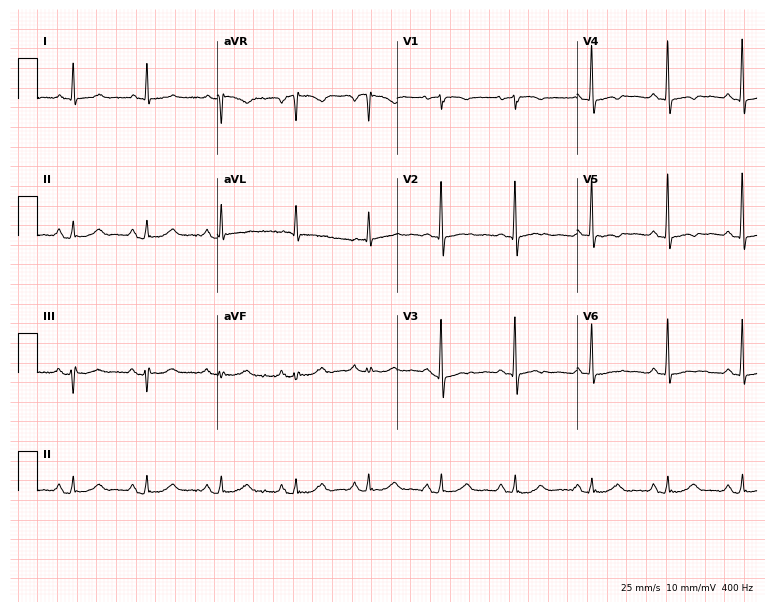
ECG — a female patient, 78 years old. Screened for six findings — first-degree AV block, right bundle branch block, left bundle branch block, sinus bradycardia, atrial fibrillation, sinus tachycardia — none is recorded.